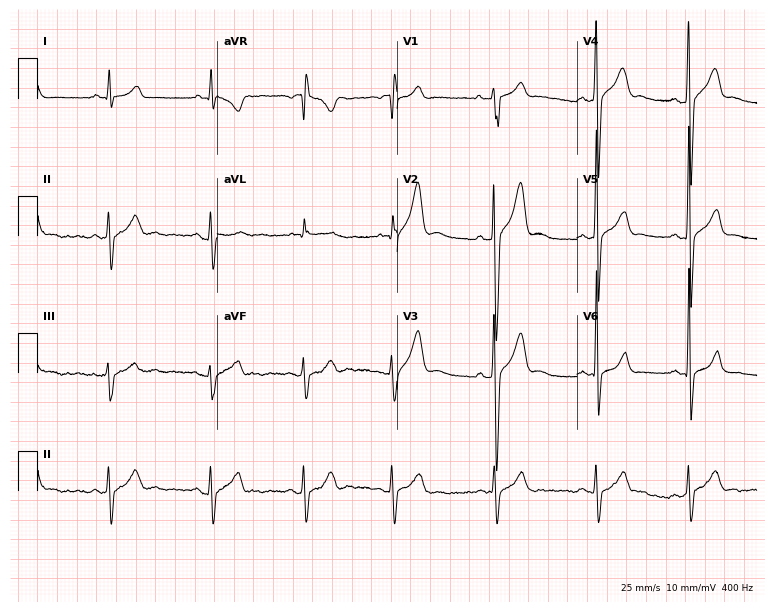
Standard 12-lead ECG recorded from a man, 24 years old. None of these six findings is recorded: first-degree AV block, right bundle branch block, left bundle branch block, sinus bradycardia, atrial fibrillation, sinus tachycardia.